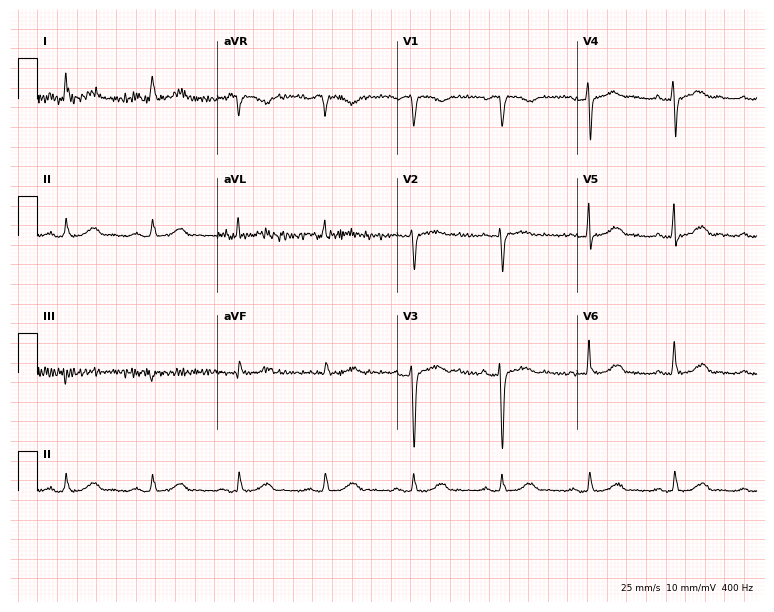
ECG (7.3-second recording at 400 Hz) — a 37-year-old female patient. Screened for six findings — first-degree AV block, right bundle branch block (RBBB), left bundle branch block (LBBB), sinus bradycardia, atrial fibrillation (AF), sinus tachycardia — none is recorded. Only these six findings were labelled.